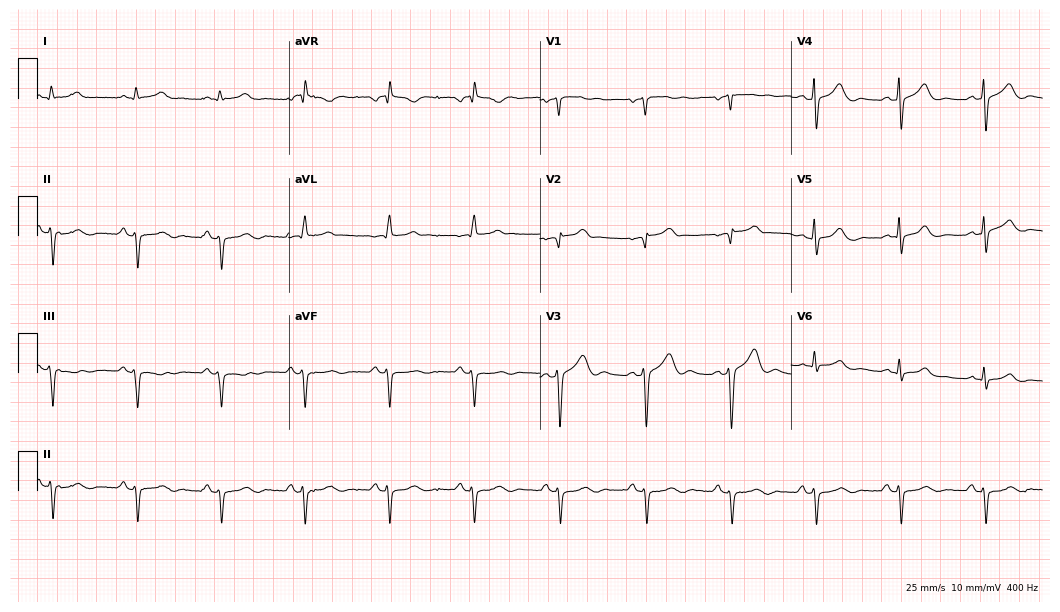
12-lead ECG from a male, 55 years old (10.2-second recording at 400 Hz). No first-degree AV block, right bundle branch block (RBBB), left bundle branch block (LBBB), sinus bradycardia, atrial fibrillation (AF) or sinus tachycardia recorded for this tracing. Findings outside these six are not listed.